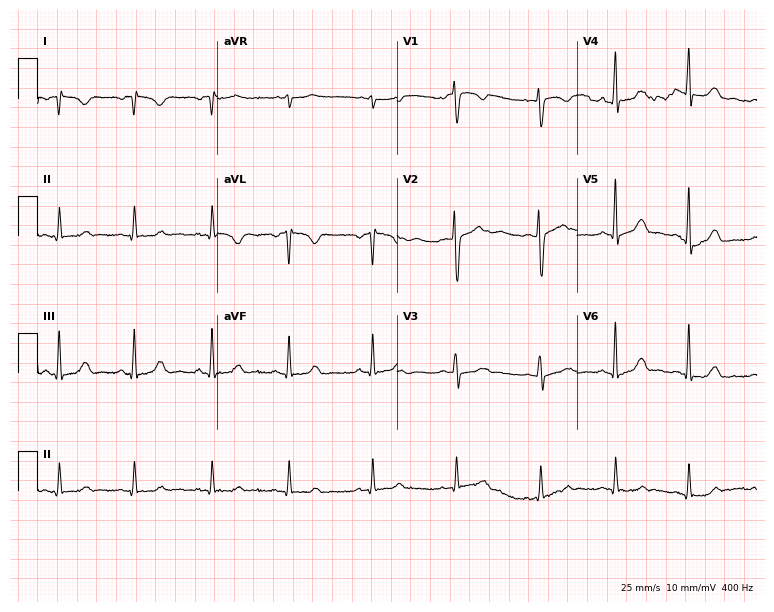
Standard 12-lead ECG recorded from a 24-year-old female patient. Read as a normal ECG.